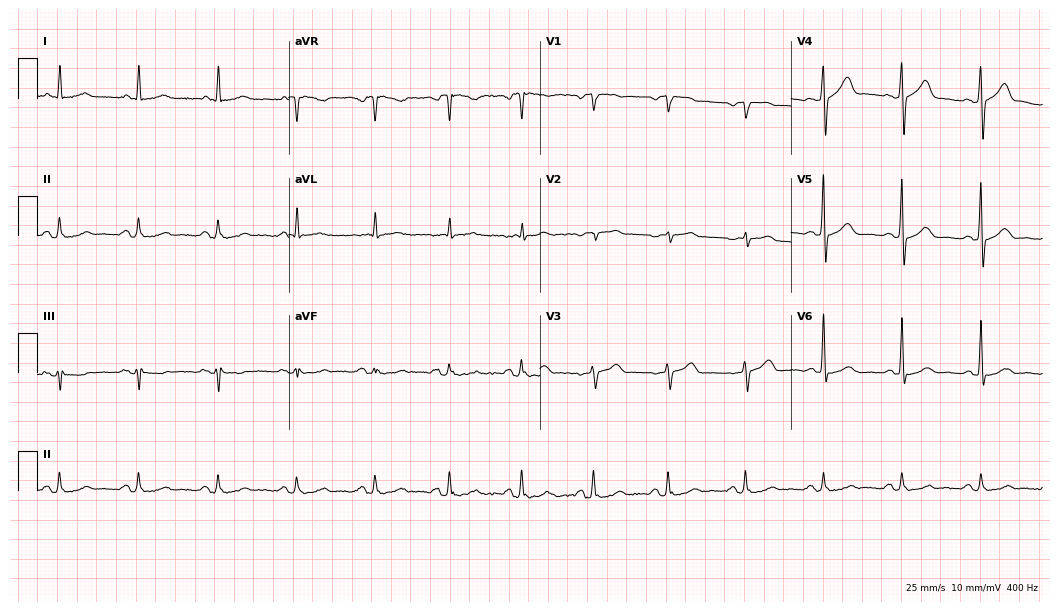
12-lead ECG (10.2-second recording at 400 Hz) from a male, 71 years old. Screened for six findings — first-degree AV block, right bundle branch block, left bundle branch block, sinus bradycardia, atrial fibrillation, sinus tachycardia — none is recorded. Other findings, if any, are not listed.